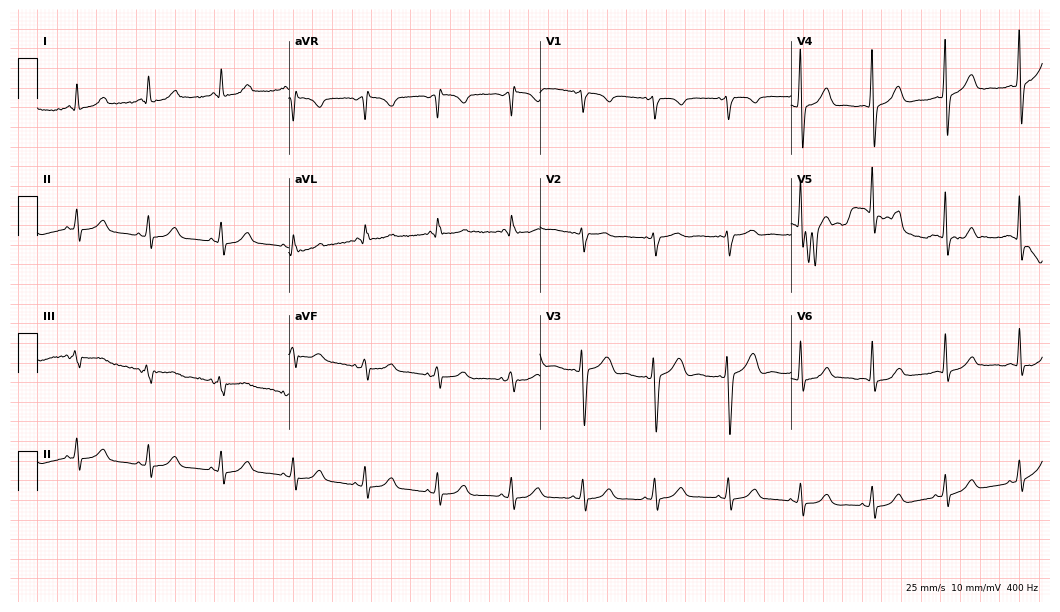
Electrocardiogram (10.2-second recording at 400 Hz), a 50-year-old male patient. Overall reading on record: normal ECG.